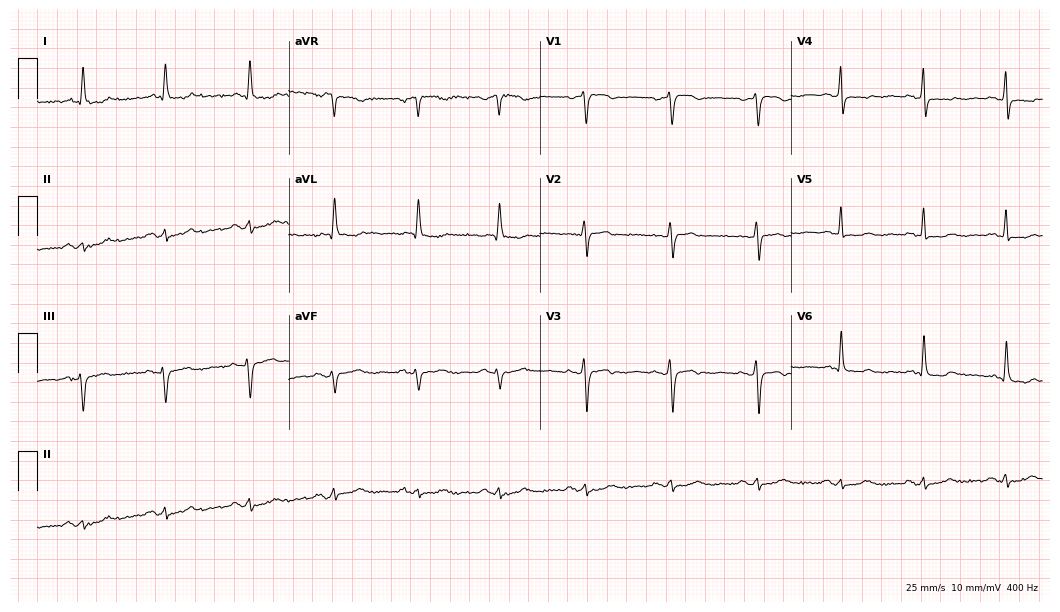
ECG — a woman, 80 years old. Screened for six findings — first-degree AV block, right bundle branch block (RBBB), left bundle branch block (LBBB), sinus bradycardia, atrial fibrillation (AF), sinus tachycardia — none is recorded.